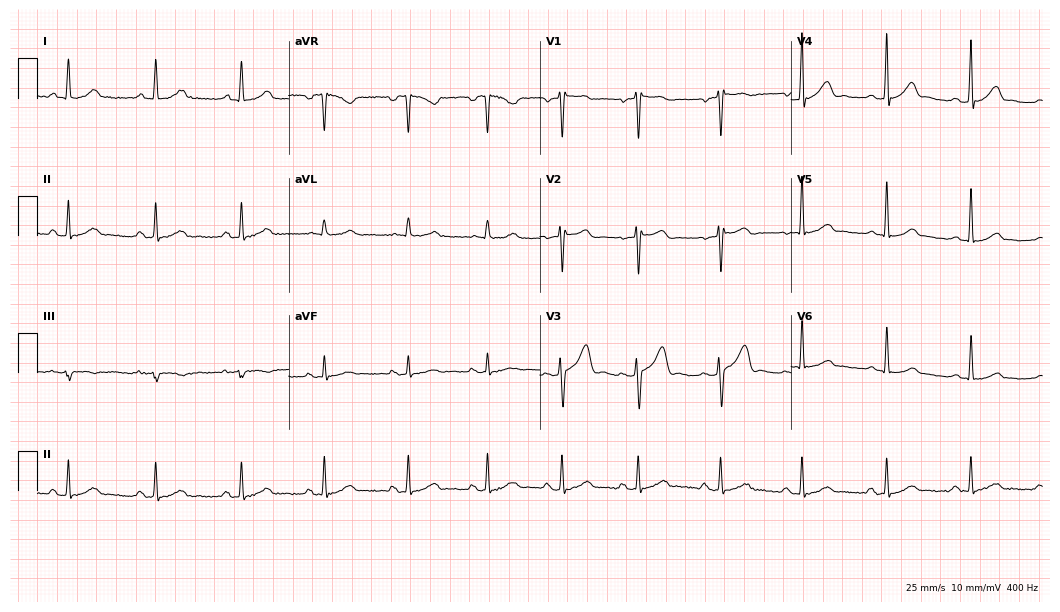
Resting 12-lead electrocardiogram (10.2-second recording at 400 Hz). Patient: a 42-year-old male. Read as a normal ECG.